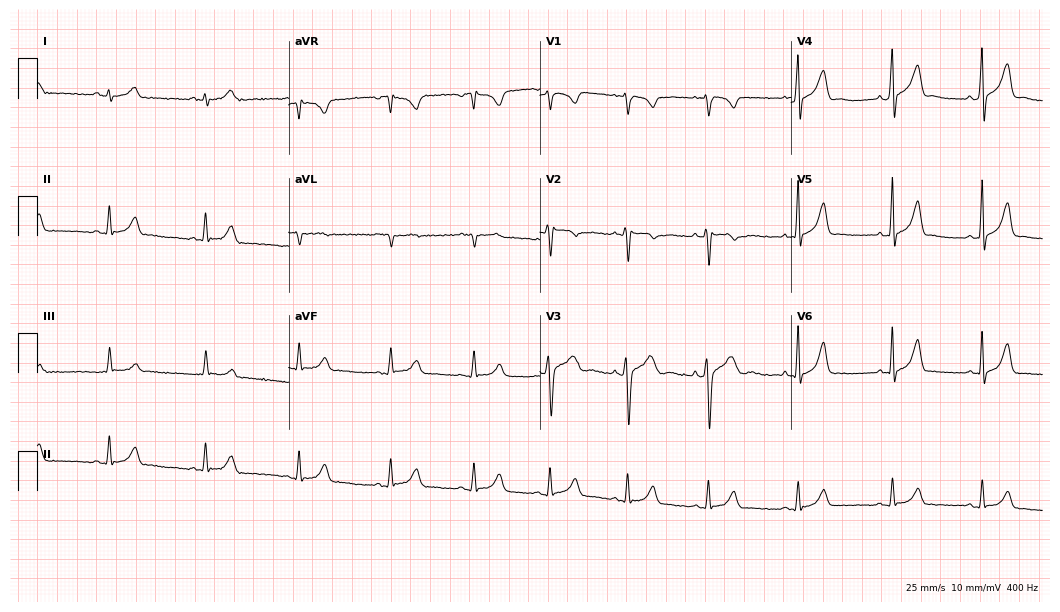
Standard 12-lead ECG recorded from a male, 31 years old (10.2-second recording at 400 Hz). Read as a normal ECG.